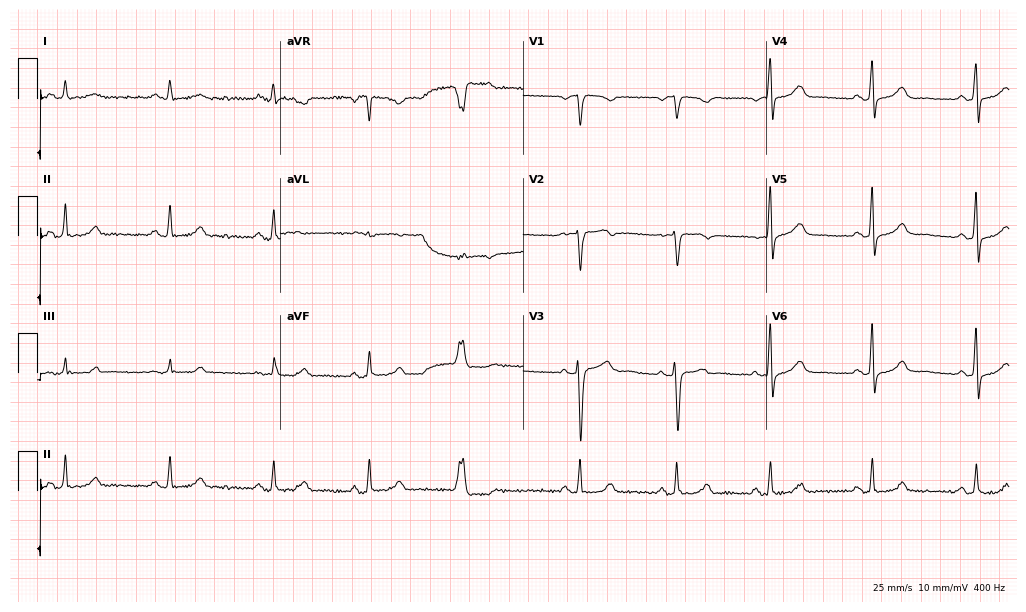
Electrocardiogram (9.9-second recording at 400 Hz), a female, 47 years old. Of the six screened findings (first-degree AV block, right bundle branch block (RBBB), left bundle branch block (LBBB), sinus bradycardia, atrial fibrillation (AF), sinus tachycardia), none is recorded.